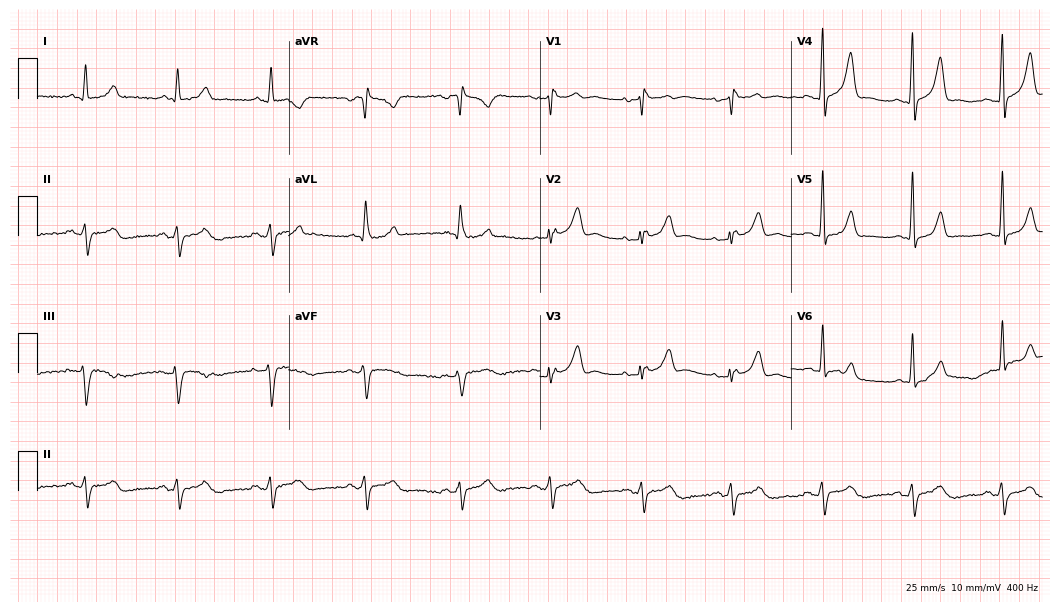
Standard 12-lead ECG recorded from a 60-year-old male. None of these six findings is recorded: first-degree AV block, right bundle branch block, left bundle branch block, sinus bradycardia, atrial fibrillation, sinus tachycardia. Other findings, if any, are not listed.